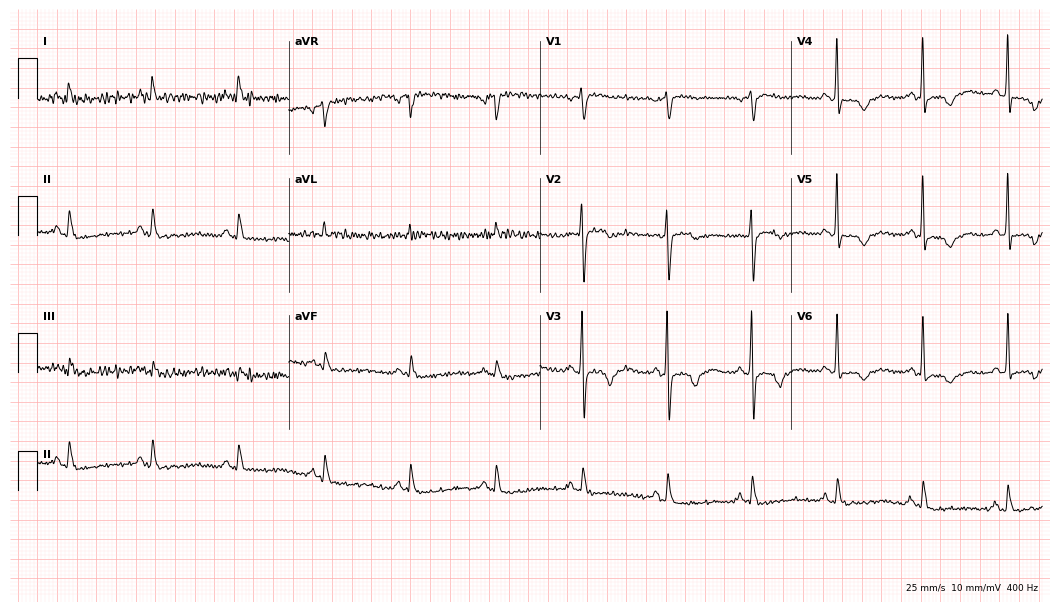
12-lead ECG from a 76-year-old male. No first-degree AV block, right bundle branch block, left bundle branch block, sinus bradycardia, atrial fibrillation or sinus tachycardia recorded for this tracing. Only these six findings were labelled.